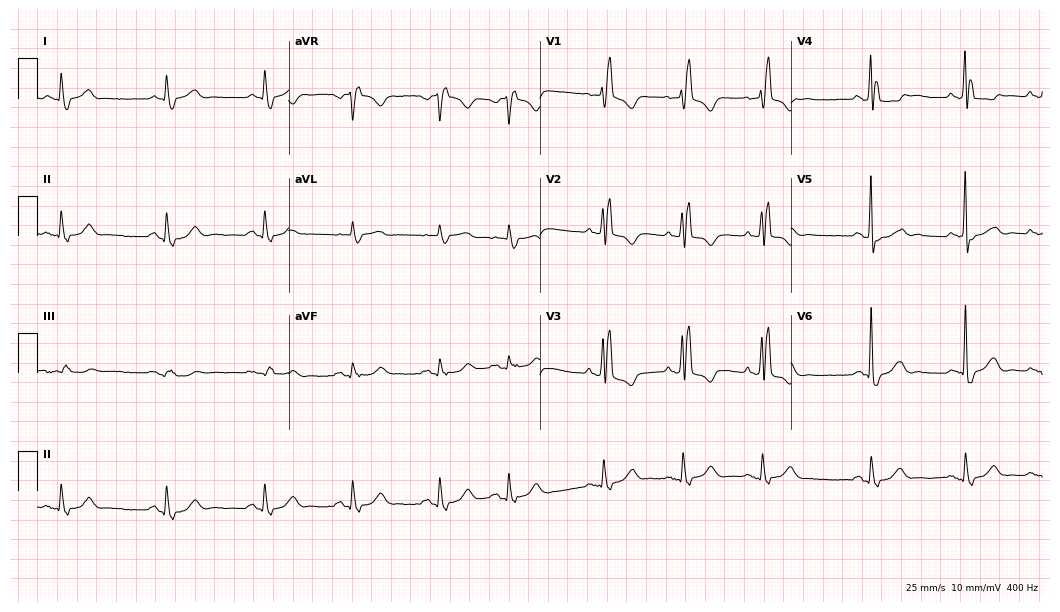
Resting 12-lead electrocardiogram. Patient: a male, 83 years old. None of these six findings is recorded: first-degree AV block, right bundle branch block, left bundle branch block, sinus bradycardia, atrial fibrillation, sinus tachycardia. Only these six findings were labelled.